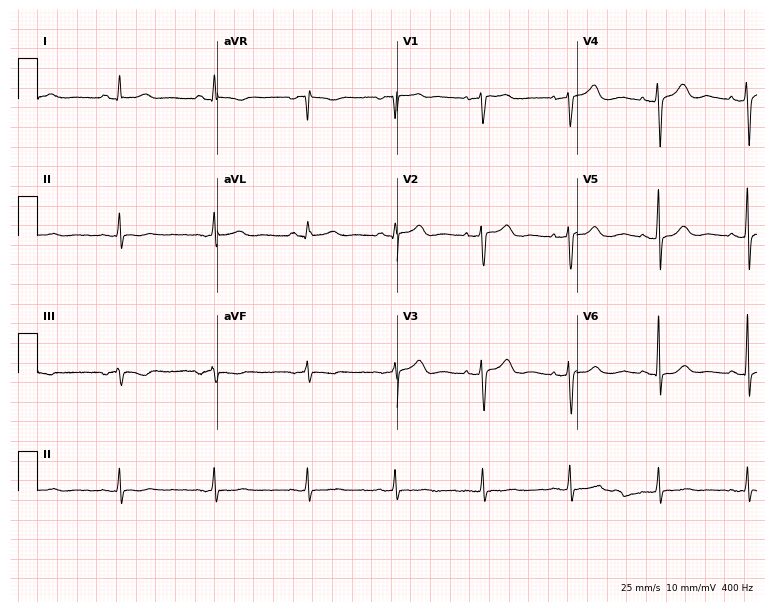
Electrocardiogram, a woman, 47 years old. Of the six screened findings (first-degree AV block, right bundle branch block, left bundle branch block, sinus bradycardia, atrial fibrillation, sinus tachycardia), none is recorded.